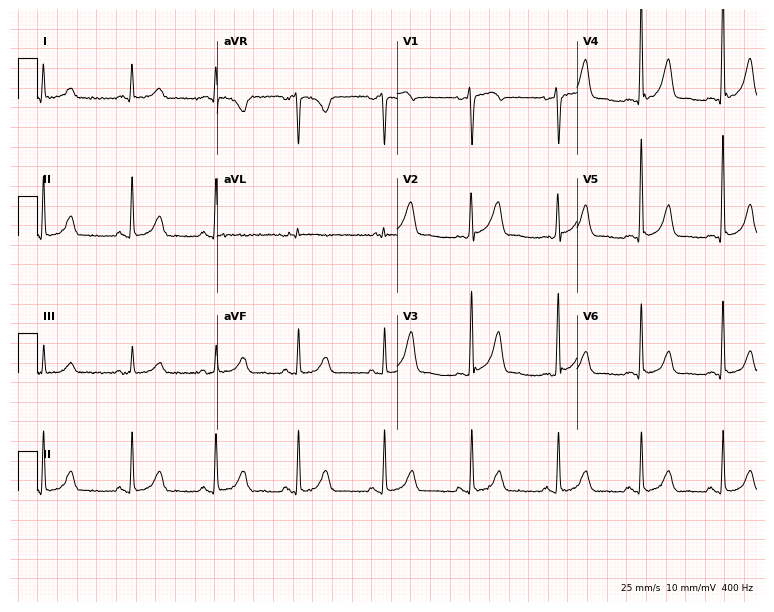
Standard 12-lead ECG recorded from a 64-year-old female patient. Read as a normal ECG.